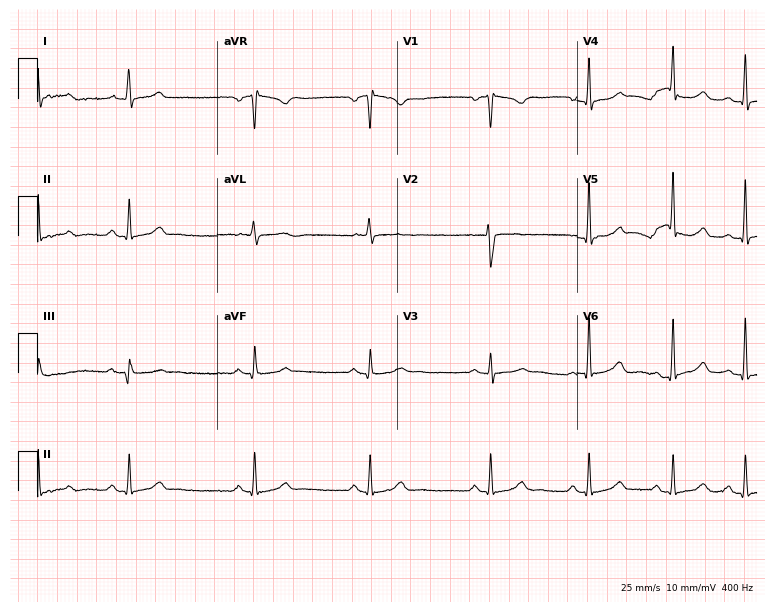
Resting 12-lead electrocardiogram (7.3-second recording at 400 Hz). Patient: a female, 26 years old. Read as a normal ECG.